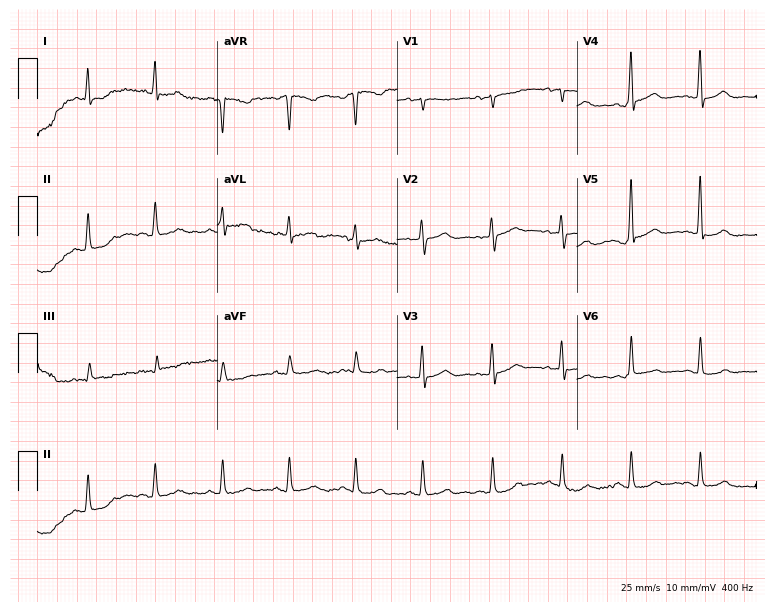
ECG — a 61-year-old female patient. Screened for six findings — first-degree AV block, right bundle branch block (RBBB), left bundle branch block (LBBB), sinus bradycardia, atrial fibrillation (AF), sinus tachycardia — none is recorded.